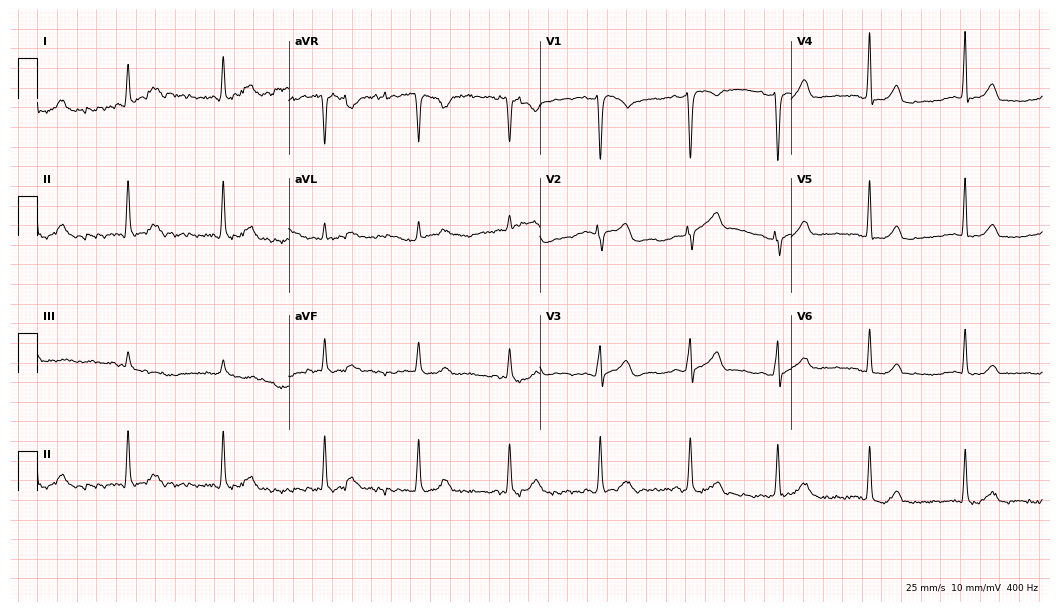
Resting 12-lead electrocardiogram (10.2-second recording at 400 Hz). Patient: a 35-year-old woman. Read as a normal ECG.